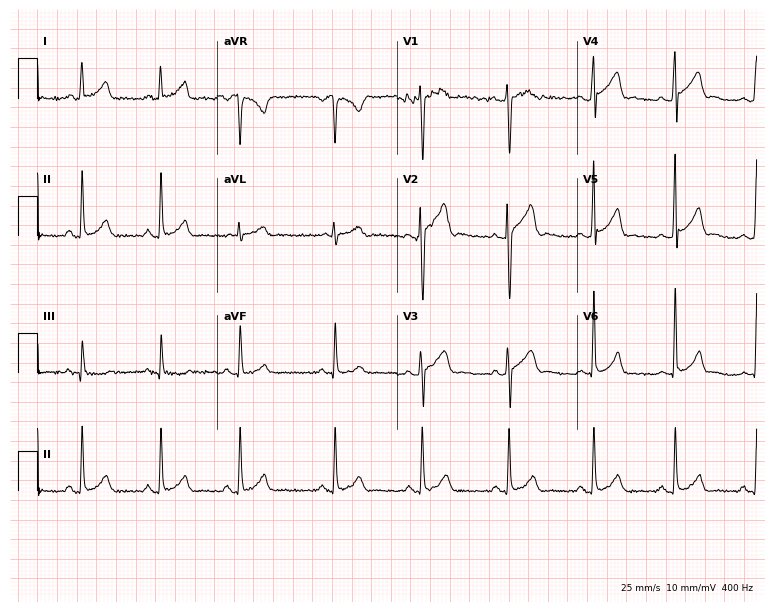
12-lead ECG from a woman, 20 years old. No first-degree AV block, right bundle branch block, left bundle branch block, sinus bradycardia, atrial fibrillation or sinus tachycardia recorded for this tracing. Only these six findings were labelled.